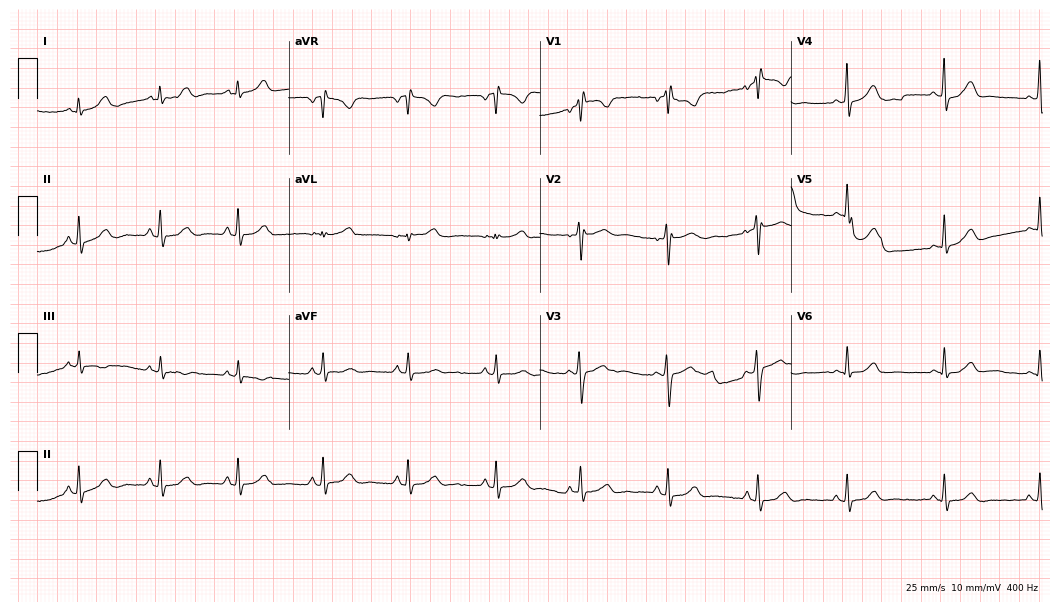
Resting 12-lead electrocardiogram (10.2-second recording at 400 Hz). Patient: a woman, 20 years old. None of these six findings is recorded: first-degree AV block, right bundle branch block, left bundle branch block, sinus bradycardia, atrial fibrillation, sinus tachycardia. Other findings, if any, are not listed.